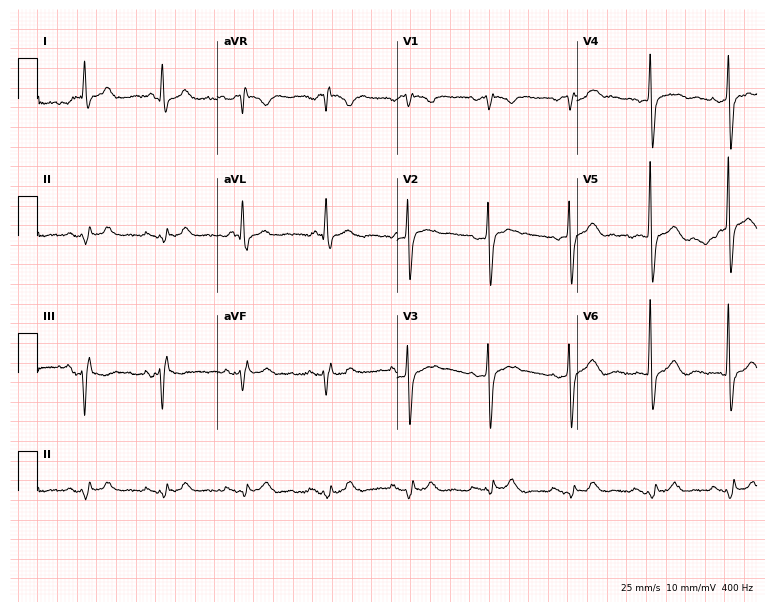
ECG — a male patient, 65 years old. Screened for six findings — first-degree AV block, right bundle branch block, left bundle branch block, sinus bradycardia, atrial fibrillation, sinus tachycardia — none is recorded.